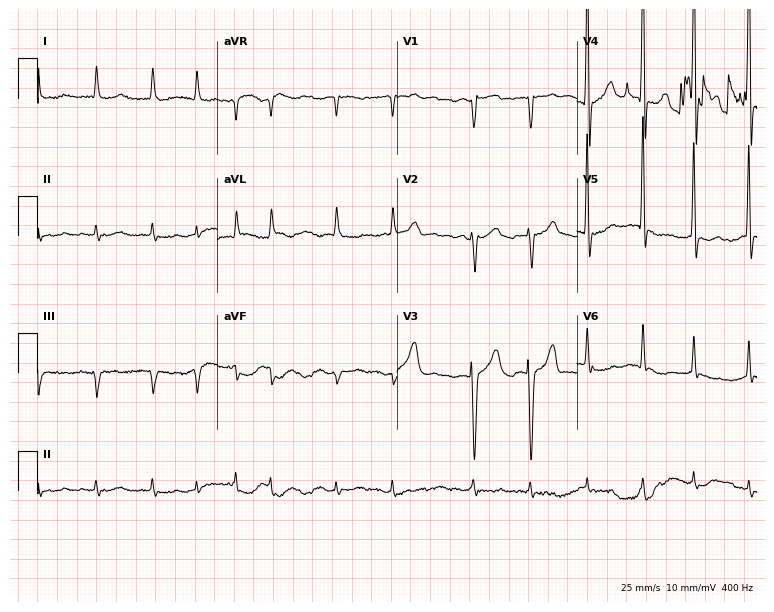
12-lead ECG from a 77-year-old male patient. Shows atrial fibrillation (AF).